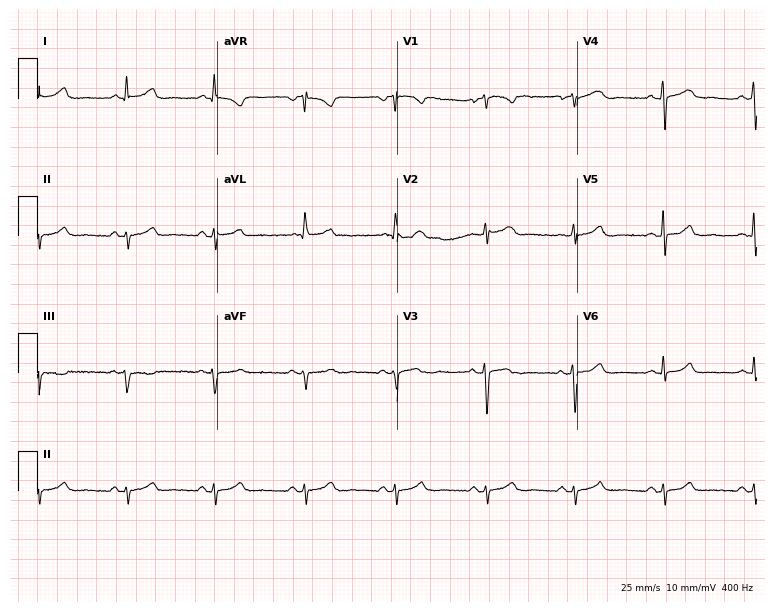
12-lead ECG from a female, 49 years old (7.3-second recording at 400 Hz). No first-degree AV block, right bundle branch block, left bundle branch block, sinus bradycardia, atrial fibrillation or sinus tachycardia recorded for this tracing. Findings outside these six are not listed.